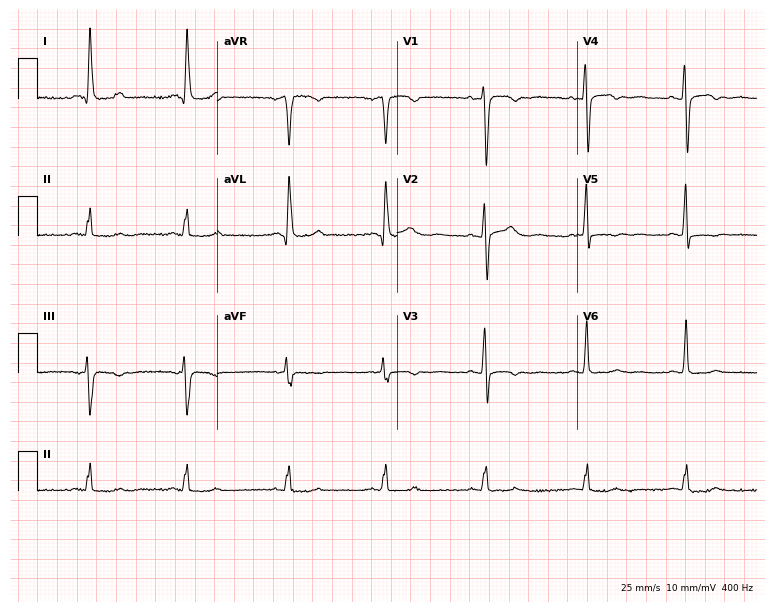
Electrocardiogram, a female, 55 years old. Of the six screened findings (first-degree AV block, right bundle branch block (RBBB), left bundle branch block (LBBB), sinus bradycardia, atrial fibrillation (AF), sinus tachycardia), none is recorded.